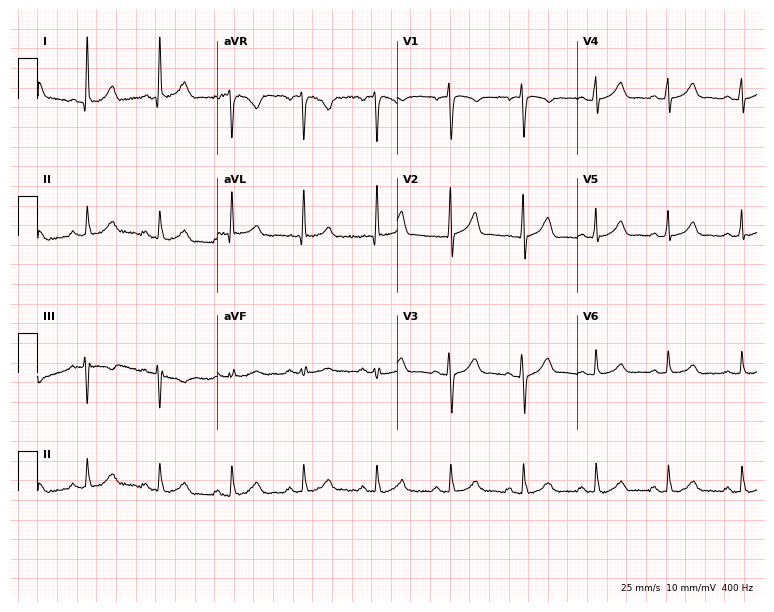
12-lead ECG (7.3-second recording at 400 Hz) from a male, 53 years old. Labelled as a normal ECG.